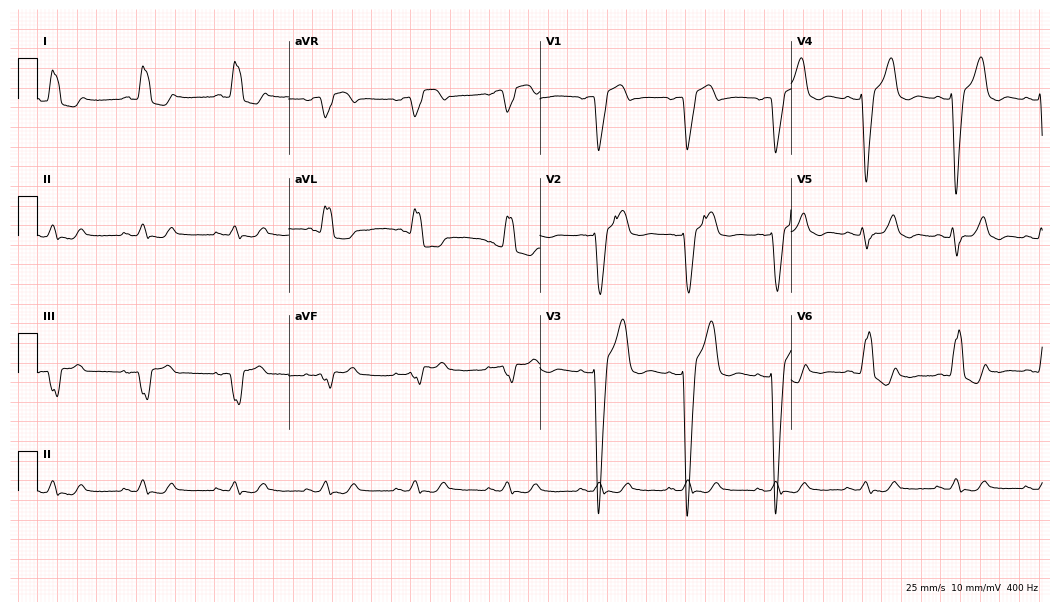
Electrocardiogram (10.2-second recording at 400 Hz), a 72-year-old woman. Of the six screened findings (first-degree AV block, right bundle branch block, left bundle branch block, sinus bradycardia, atrial fibrillation, sinus tachycardia), none is recorded.